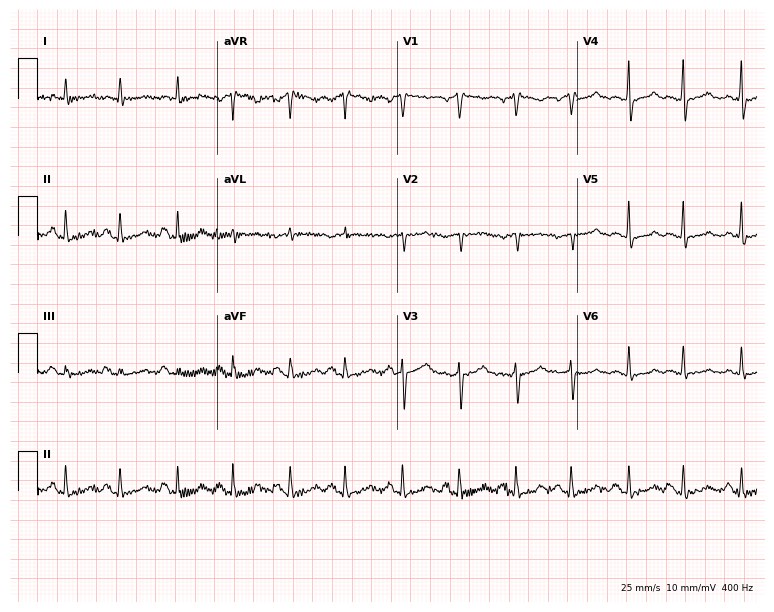
ECG (7.3-second recording at 400 Hz) — a 68-year-old man. Findings include sinus tachycardia (a sinus rate of 100 beats per minute or more).